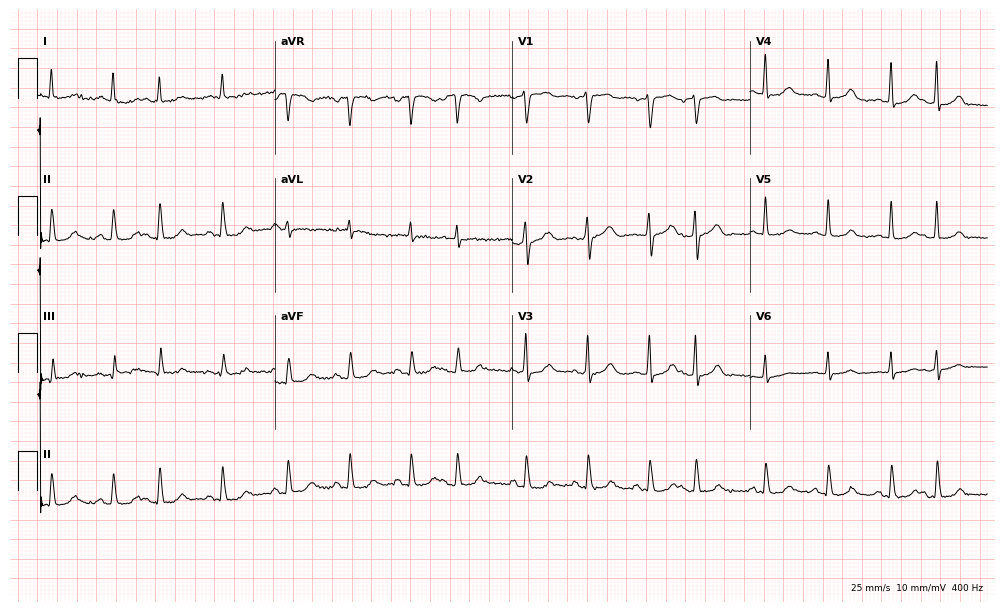
Resting 12-lead electrocardiogram (9.7-second recording at 400 Hz). Patient: a 63-year-old female. None of these six findings is recorded: first-degree AV block, right bundle branch block, left bundle branch block, sinus bradycardia, atrial fibrillation, sinus tachycardia. Only these six findings were labelled.